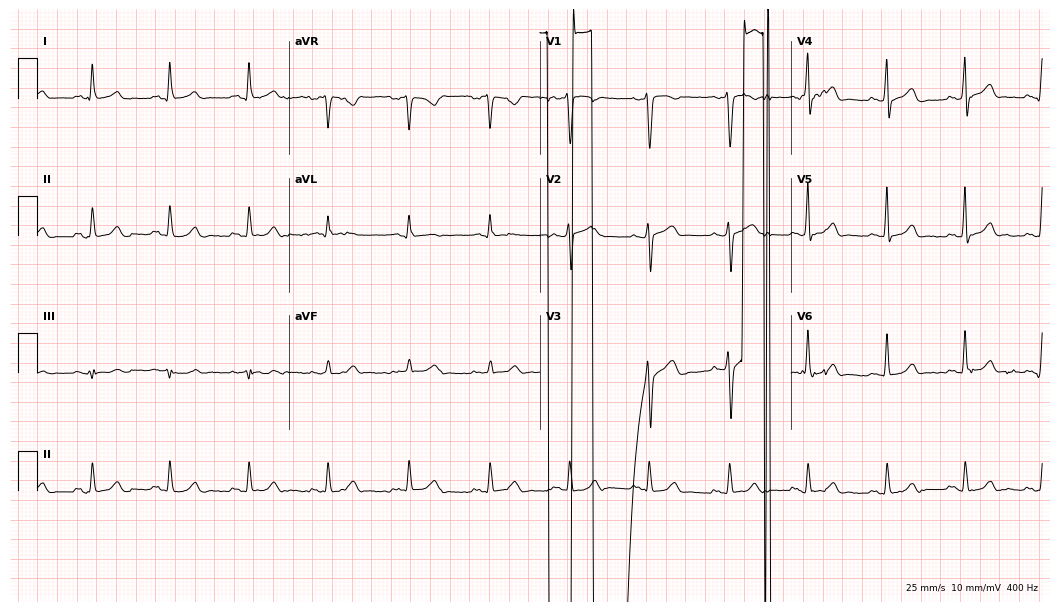
ECG (10.2-second recording at 400 Hz) — a male, 37 years old. Screened for six findings — first-degree AV block, right bundle branch block, left bundle branch block, sinus bradycardia, atrial fibrillation, sinus tachycardia — none is recorded. Only these six findings were labelled.